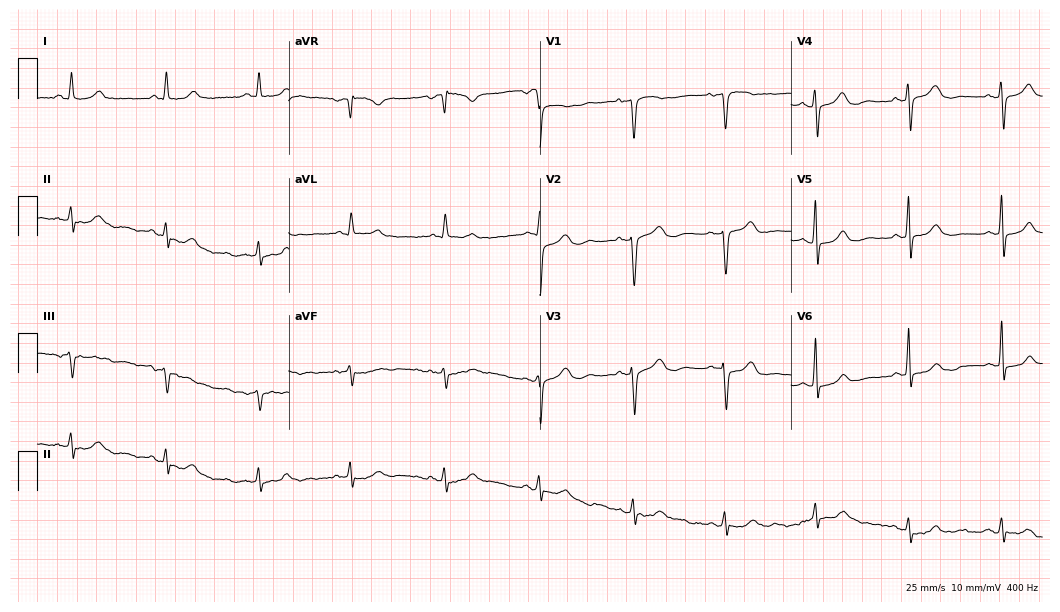
12-lead ECG from a female, 79 years old. Recorded interpretation: within normal limits.